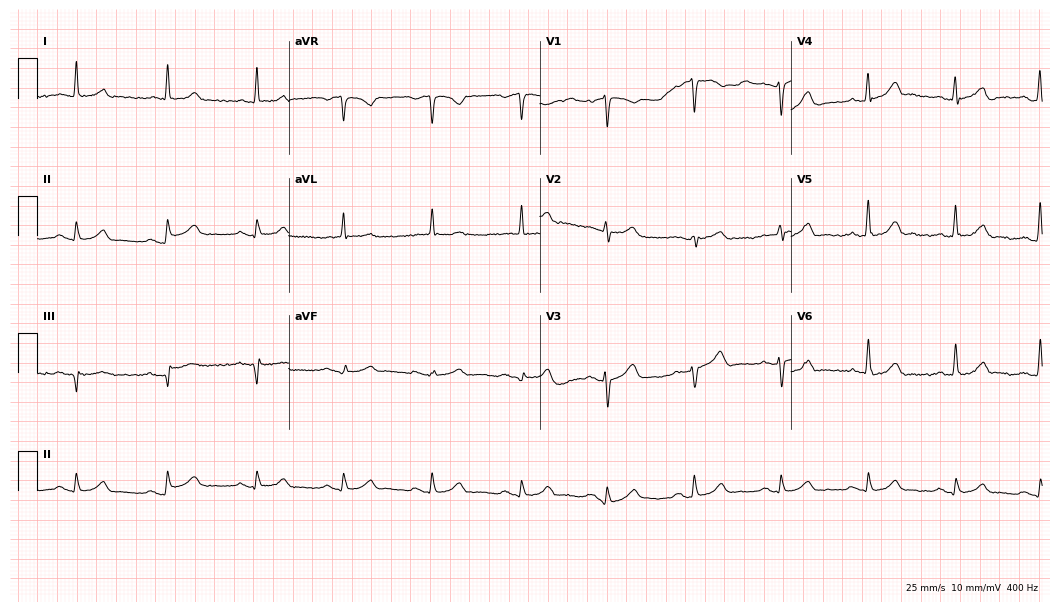
12-lead ECG from a man, 75 years old. Recorded interpretation: within normal limits.